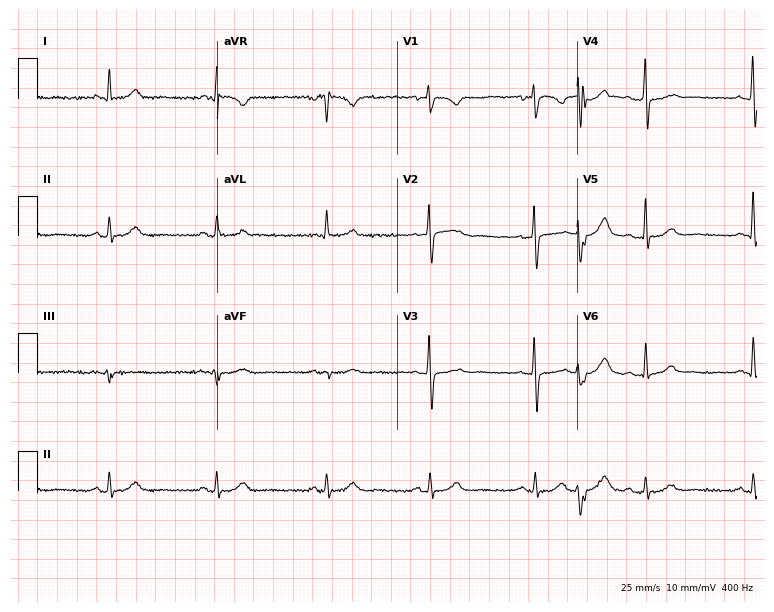
12-lead ECG from a woman, 66 years old (7.3-second recording at 400 Hz). No first-degree AV block, right bundle branch block (RBBB), left bundle branch block (LBBB), sinus bradycardia, atrial fibrillation (AF) or sinus tachycardia recorded for this tracing.